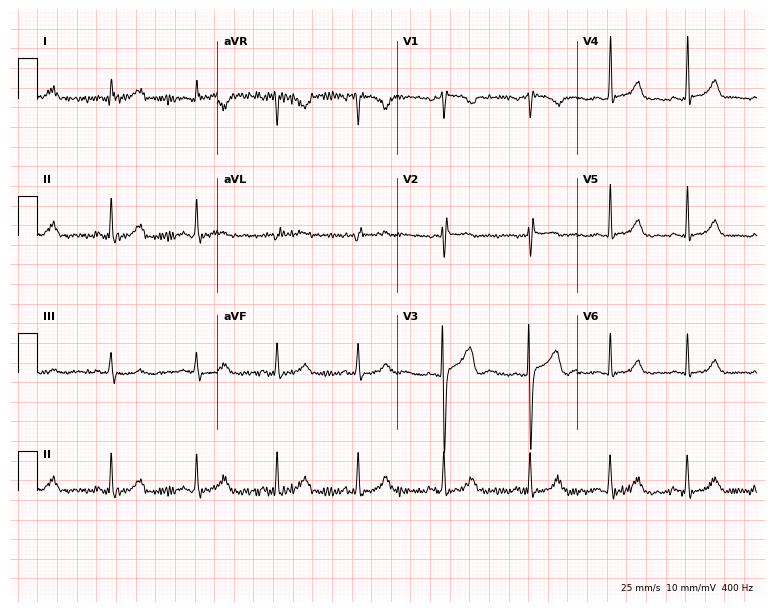
12-lead ECG from a female, 38 years old (7.3-second recording at 400 Hz). No first-degree AV block, right bundle branch block, left bundle branch block, sinus bradycardia, atrial fibrillation or sinus tachycardia recorded for this tracing. Findings outside these six are not listed.